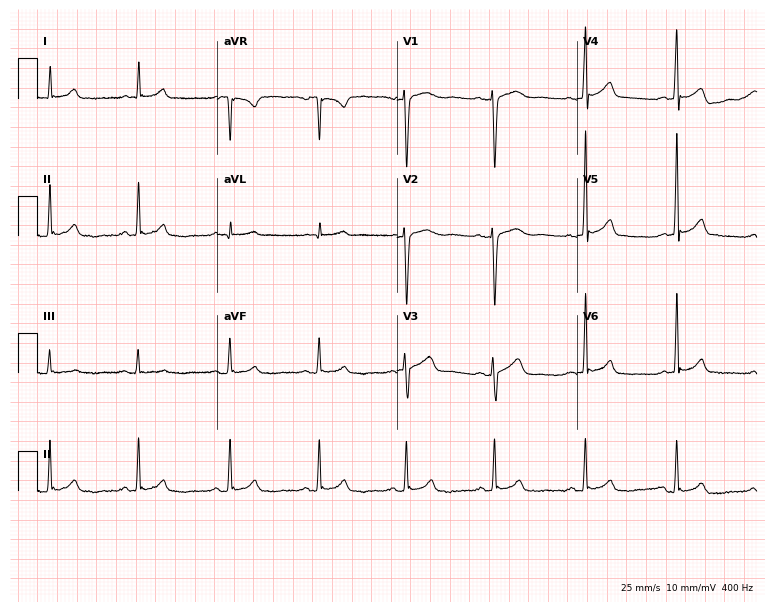
Resting 12-lead electrocardiogram (7.3-second recording at 400 Hz). Patient: a female, 34 years old. Read as a normal ECG.